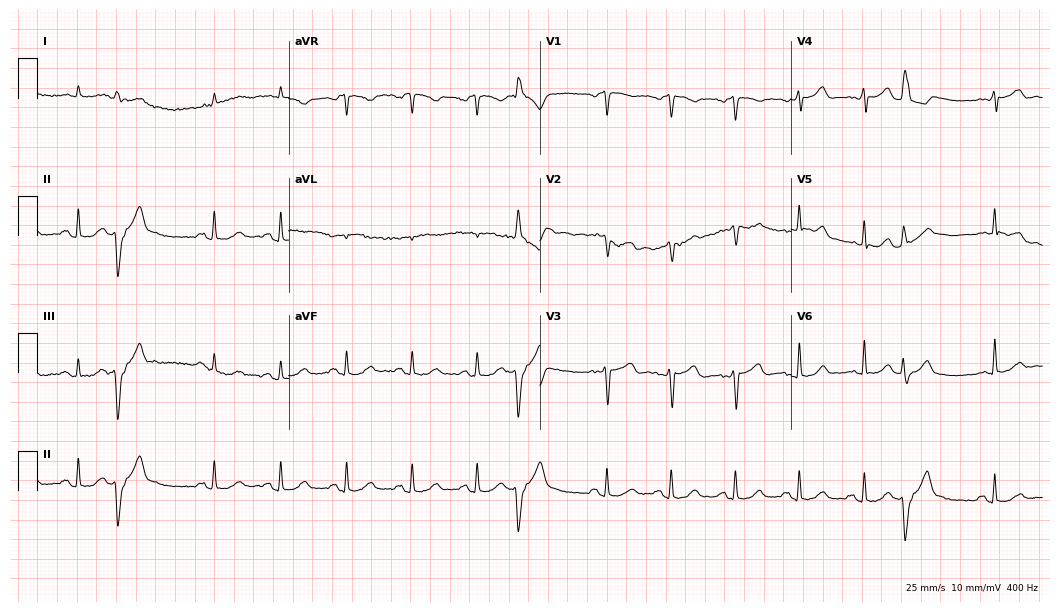
Standard 12-lead ECG recorded from a male patient, 75 years old (10.2-second recording at 400 Hz). None of these six findings is recorded: first-degree AV block, right bundle branch block (RBBB), left bundle branch block (LBBB), sinus bradycardia, atrial fibrillation (AF), sinus tachycardia.